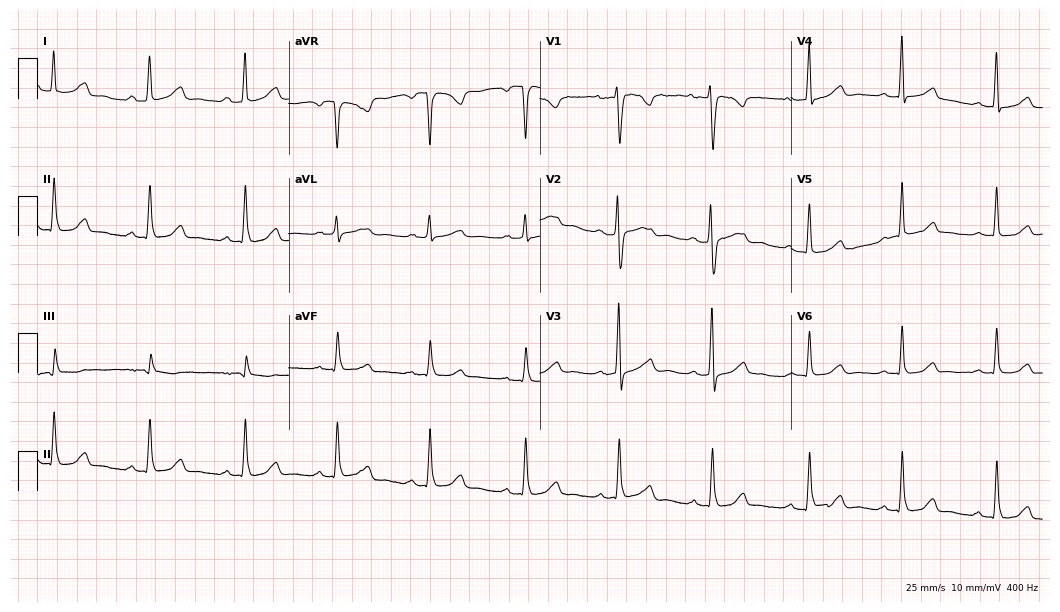
12-lead ECG (10.2-second recording at 400 Hz) from a 37-year-old female patient. Findings include first-degree AV block.